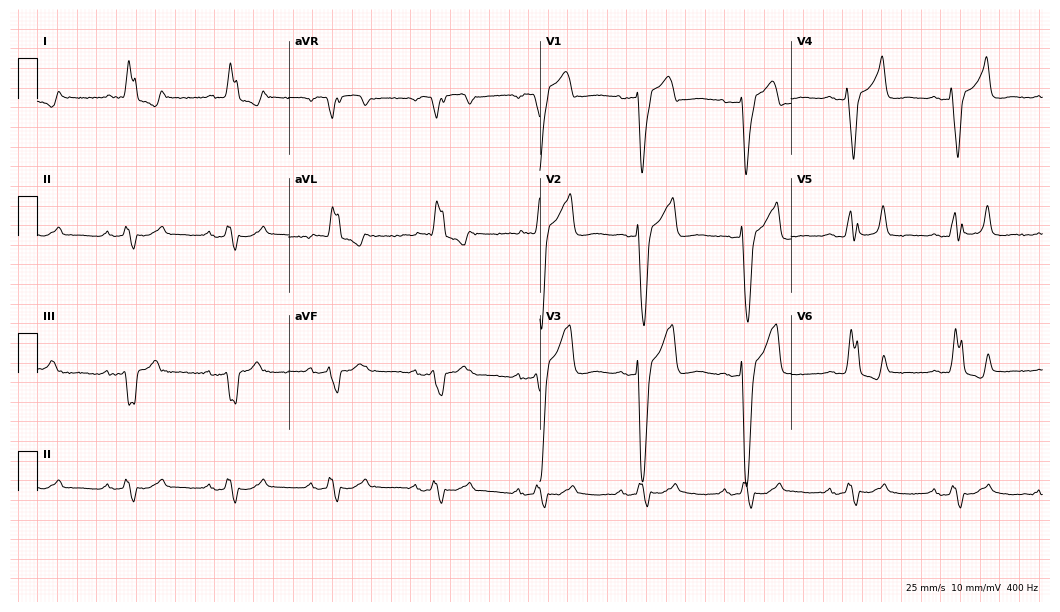
12-lead ECG from a female, 82 years old (10.2-second recording at 400 Hz). Shows left bundle branch block (LBBB).